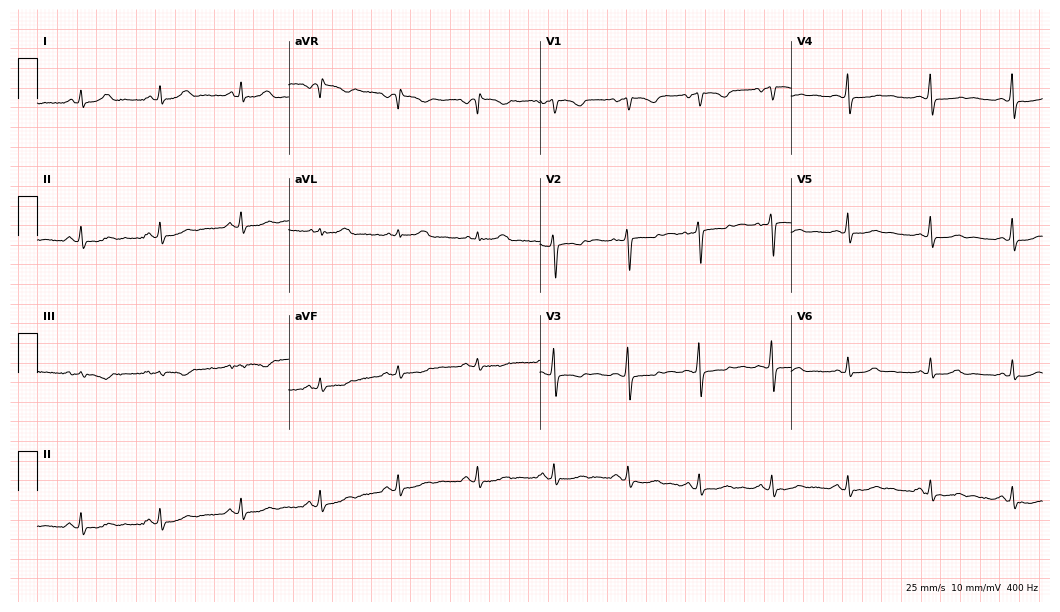
12-lead ECG from a woman, 37 years old. No first-degree AV block, right bundle branch block, left bundle branch block, sinus bradycardia, atrial fibrillation or sinus tachycardia recorded for this tracing. Only these six findings were labelled.